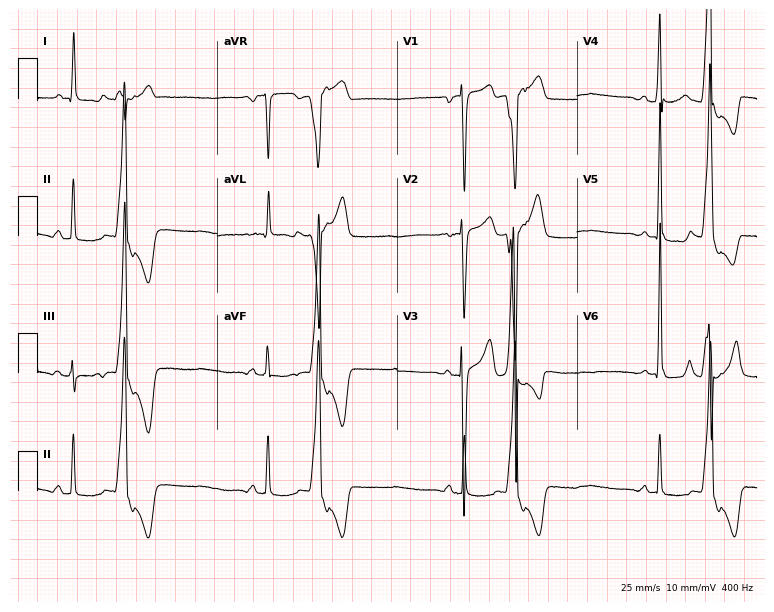
Electrocardiogram, a 74-year-old male. Of the six screened findings (first-degree AV block, right bundle branch block, left bundle branch block, sinus bradycardia, atrial fibrillation, sinus tachycardia), none is recorded.